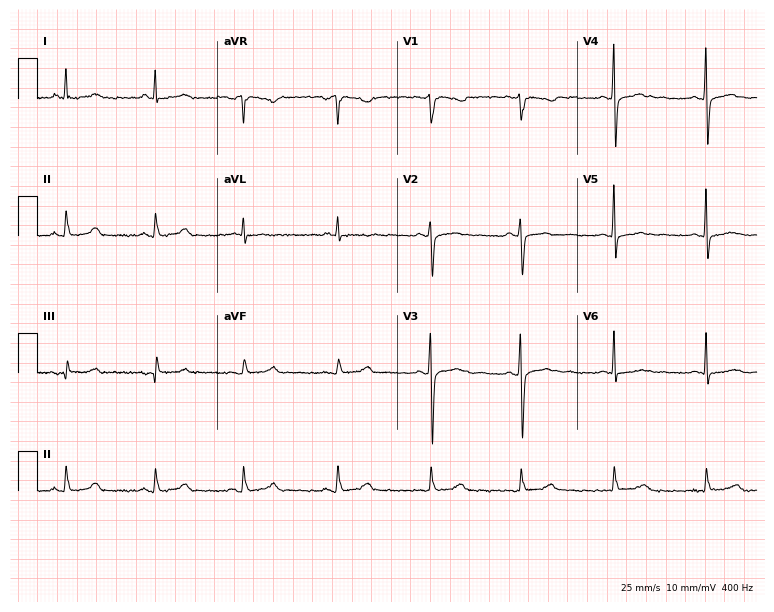
Resting 12-lead electrocardiogram (7.3-second recording at 400 Hz). Patient: a 52-year-old man. Read as a normal ECG.